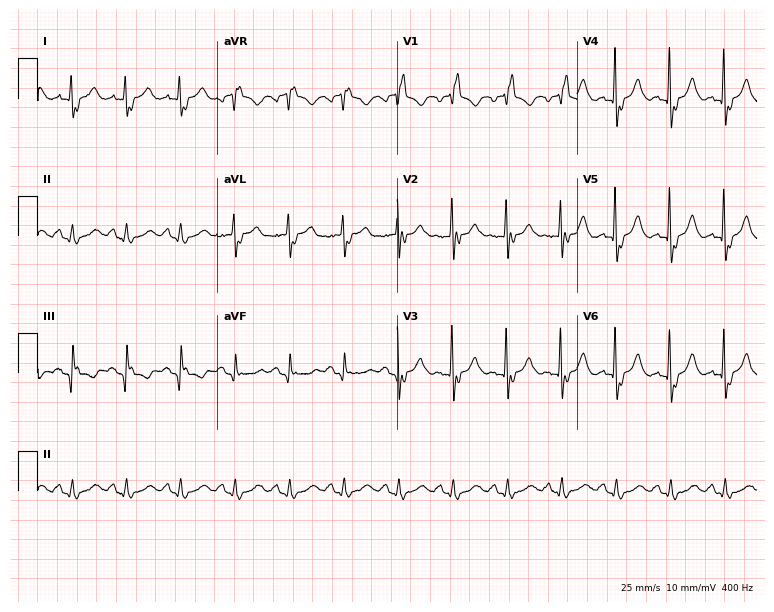
Electrocardiogram (7.3-second recording at 400 Hz), a 75-year-old woman. Interpretation includes right bundle branch block (RBBB), sinus tachycardia (a sinus rate of 100 beats per minute or more).